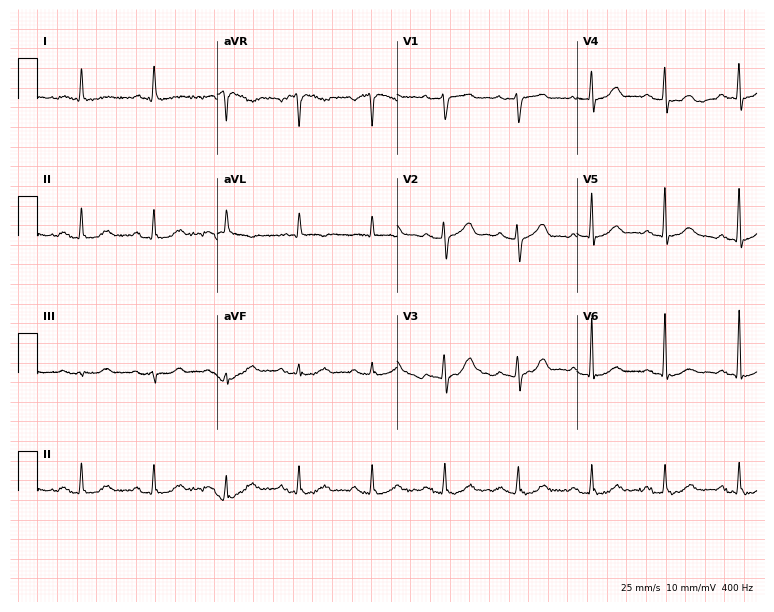
Standard 12-lead ECG recorded from a male patient, 81 years old. Read as a normal ECG.